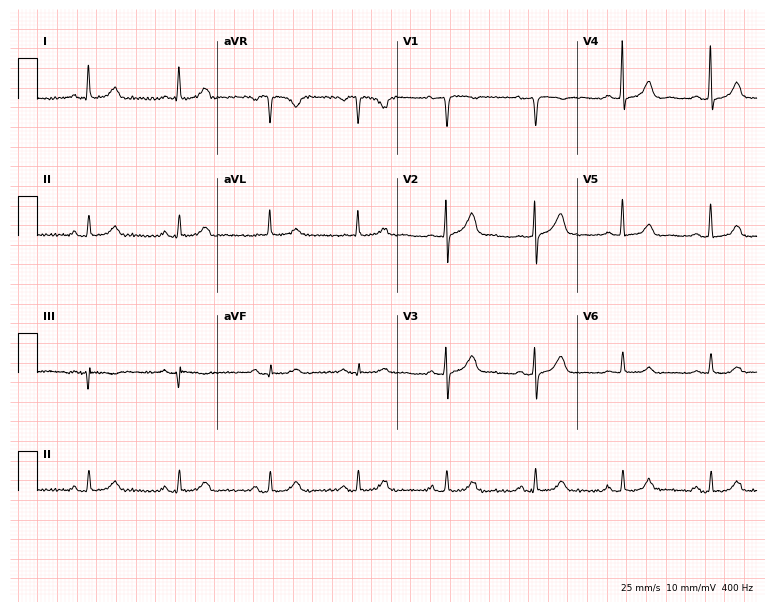
12-lead ECG from a woman, 62 years old (7.3-second recording at 400 Hz). Recorded interpretation: within normal limits.